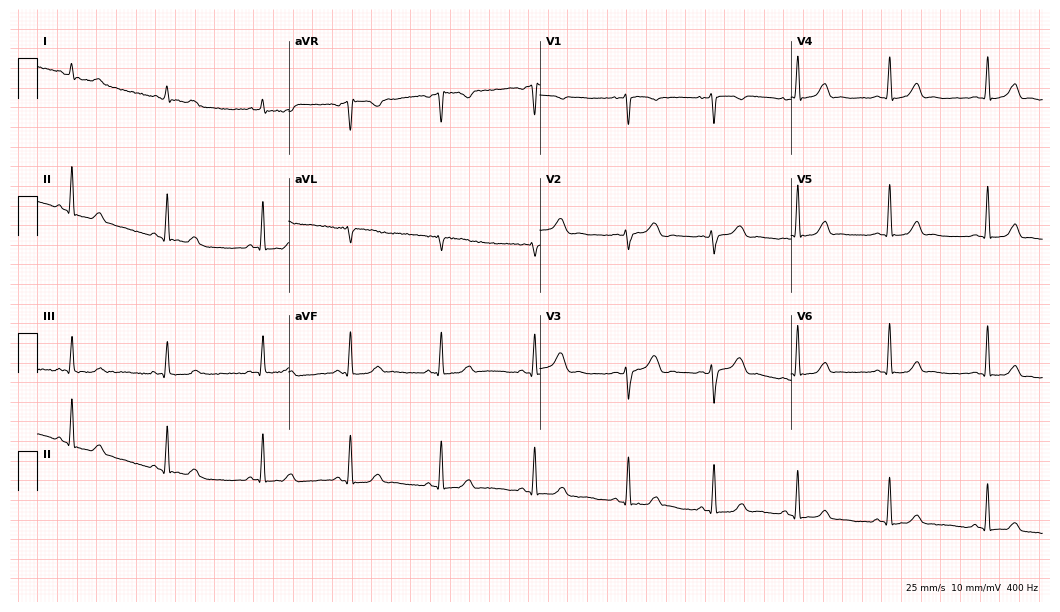
Resting 12-lead electrocardiogram (10.2-second recording at 400 Hz). Patient: a woman, 32 years old. Read as a normal ECG.